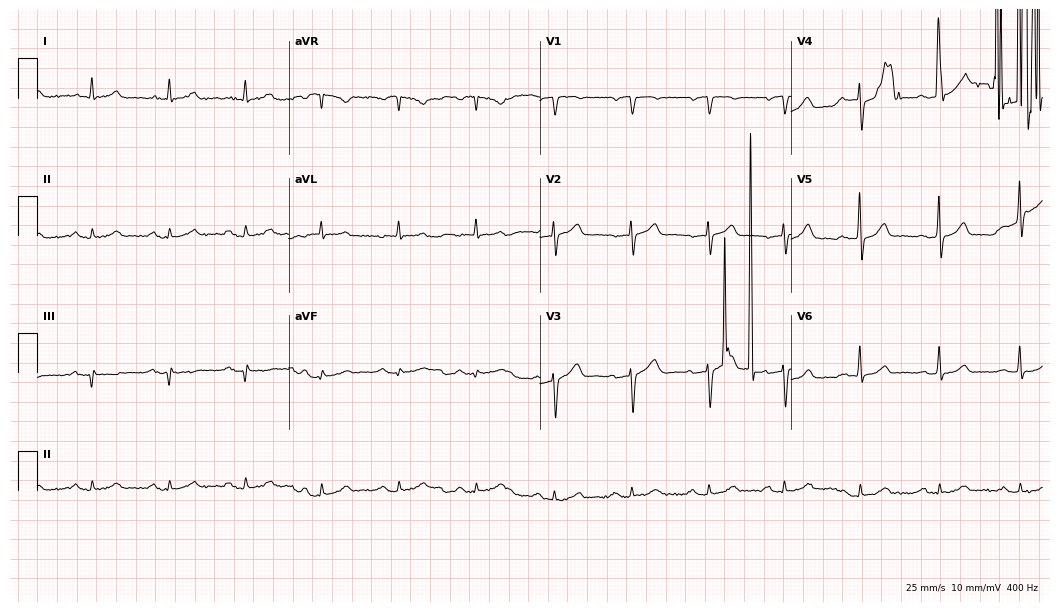
Electrocardiogram, a 62-year-old man. Of the six screened findings (first-degree AV block, right bundle branch block, left bundle branch block, sinus bradycardia, atrial fibrillation, sinus tachycardia), none is recorded. Other findings, if any, are not listed.